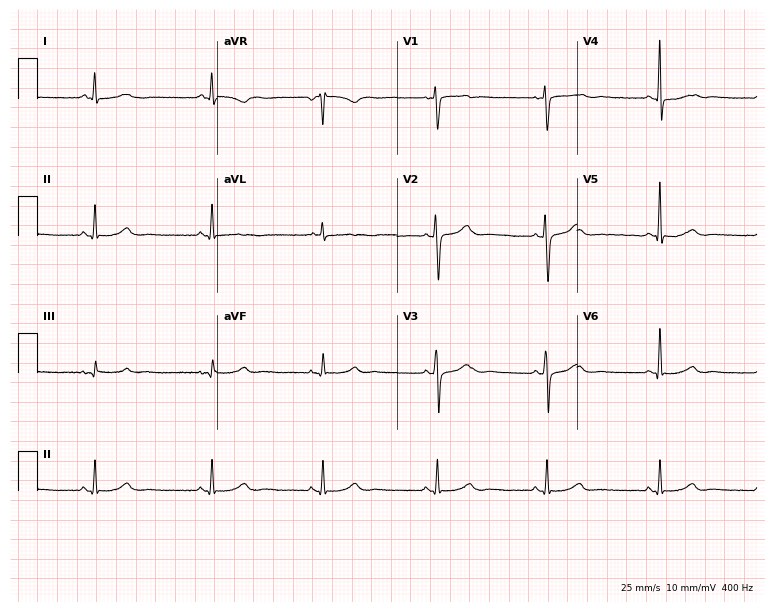
Resting 12-lead electrocardiogram. Patient: a female, 44 years old. Read as a normal ECG.